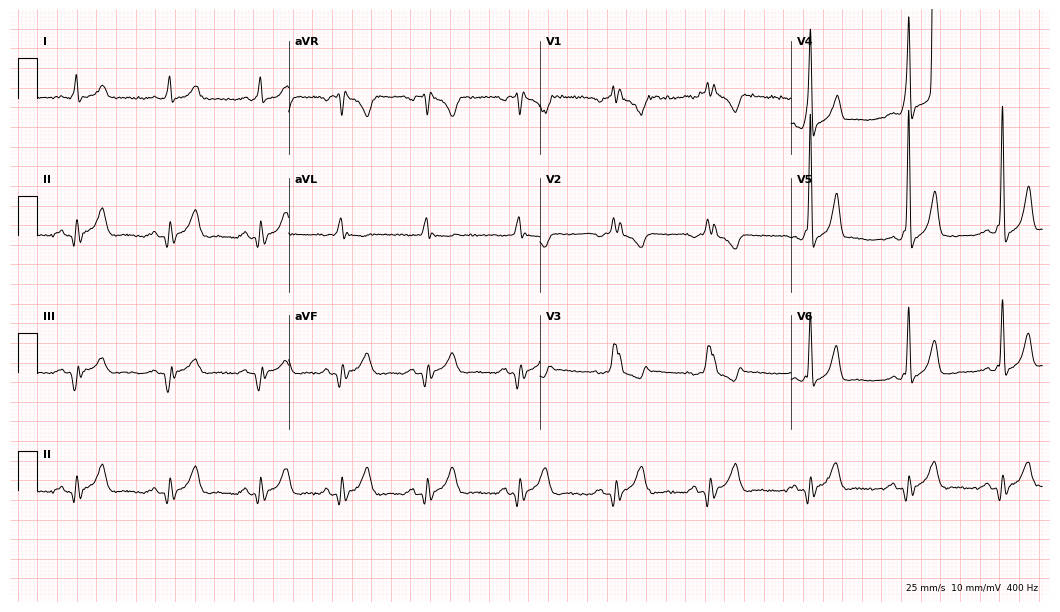
Standard 12-lead ECG recorded from a male patient, 34 years old (10.2-second recording at 400 Hz). The tracing shows right bundle branch block.